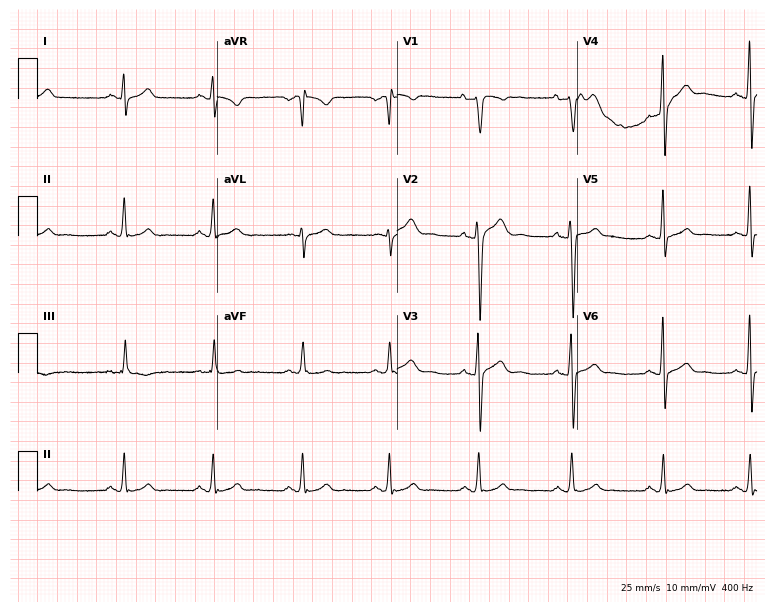
12-lead ECG (7.3-second recording at 400 Hz) from a man, 20 years old. Screened for six findings — first-degree AV block, right bundle branch block, left bundle branch block, sinus bradycardia, atrial fibrillation, sinus tachycardia — none is recorded.